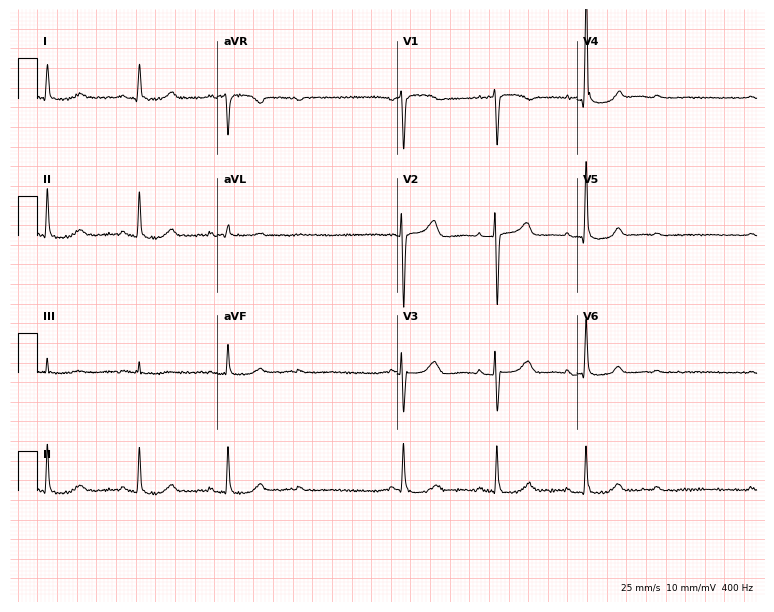
Resting 12-lead electrocardiogram (7.3-second recording at 400 Hz). Patient: a female, 76 years old. None of these six findings is recorded: first-degree AV block, right bundle branch block (RBBB), left bundle branch block (LBBB), sinus bradycardia, atrial fibrillation (AF), sinus tachycardia. Other findings, if any, are not listed.